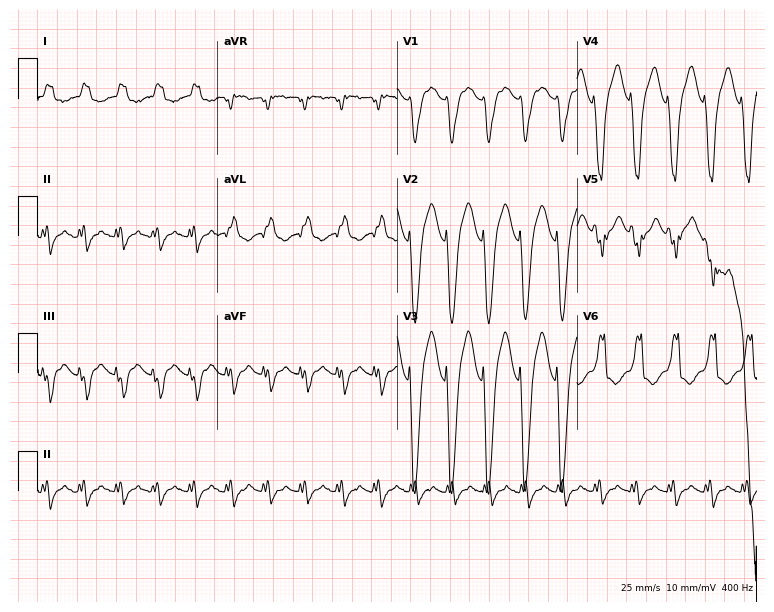
12-lead ECG from a 51-year-old female patient (7.3-second recording at 400 Hz). Shows left bundle branch block (LBBB), sinus tachycardia (a sinus rate of 100 beats per minute or more).